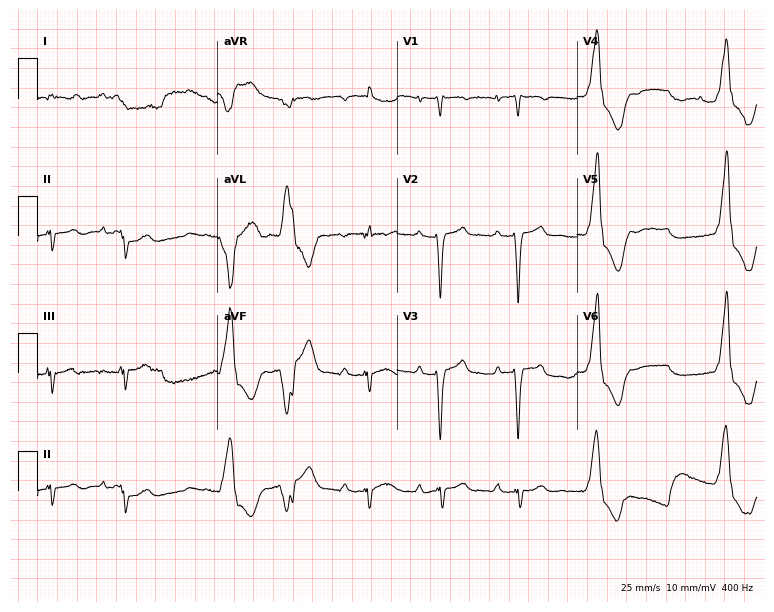
12-lead ECG from a female patient, 36 years old (7.3-second recording at 400 Hz). Shows first-degree AV block.